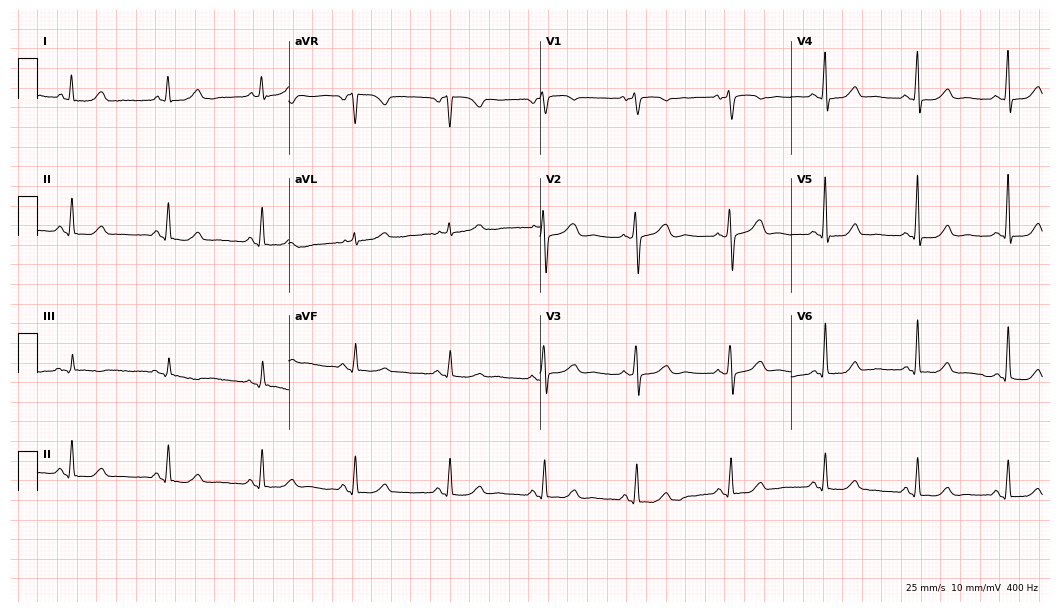
Electrocardiogram (10.2-second recording at 400 Hz), a woman, 68 years old. Of the six screened findings (first-degree AV block, right bundle branch block (RBBB), left bundle branch block (LBBB), sinus bradycardia, atrial fibrillation (AF), sinus tachycardia), none is recorded.